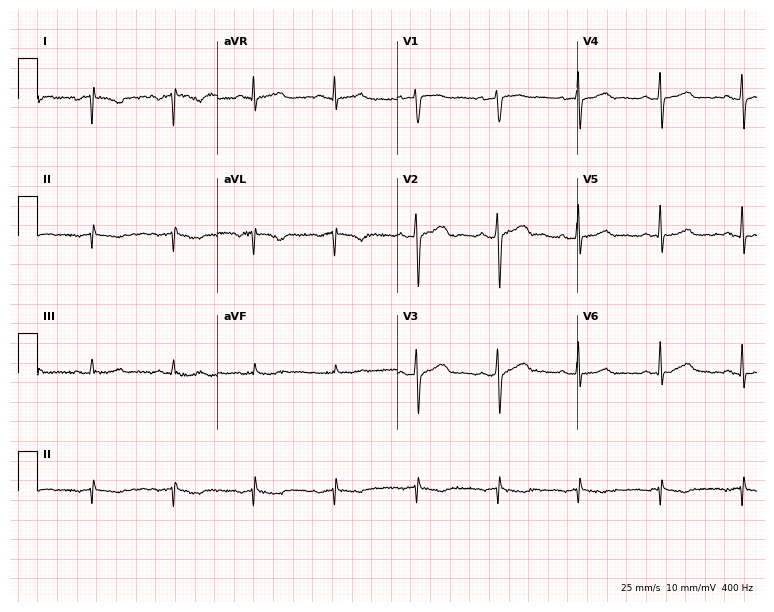
12-lead ECG (7.3-second recording at 400 Hz) from a 54-year-old woman. Screened for six findings — first-degree AV block, right bundle branch block, left bundle branch block, sinus bradycardia, atrial fibrillation, sinus tachycardia — none is recorded. Only these six findings were labelled.